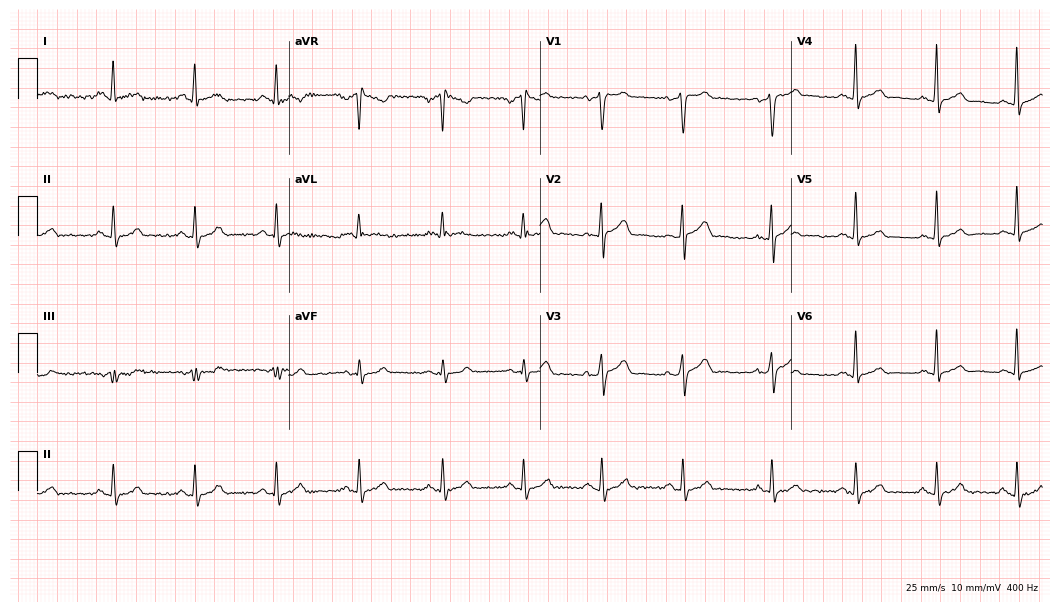
ECG (10.2-second recording at 400 Hz) — a male, 33 years old. Screened for six findings — first-degree AV block, right bundle branch block (RBBB), left bundle branch block (LBBB), sinus bradycardia, atrial fibrillation (AF), sinus tachycardia — none is recorded.